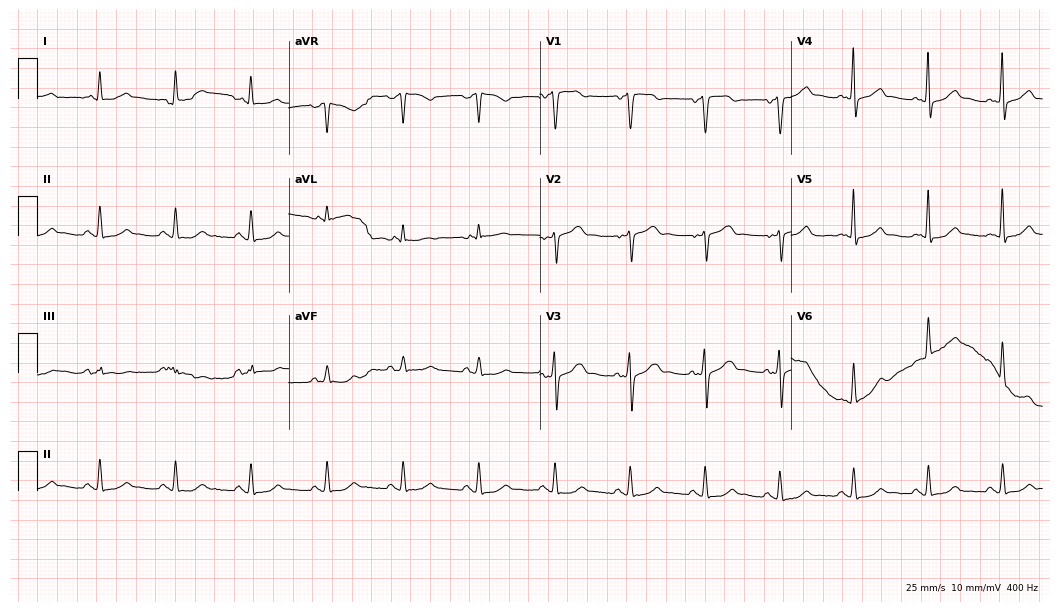
Standard 12-lead ECG recorded from a 59-year-old male (10.2-second recording at 400 Hz). Read as a normal ECG.